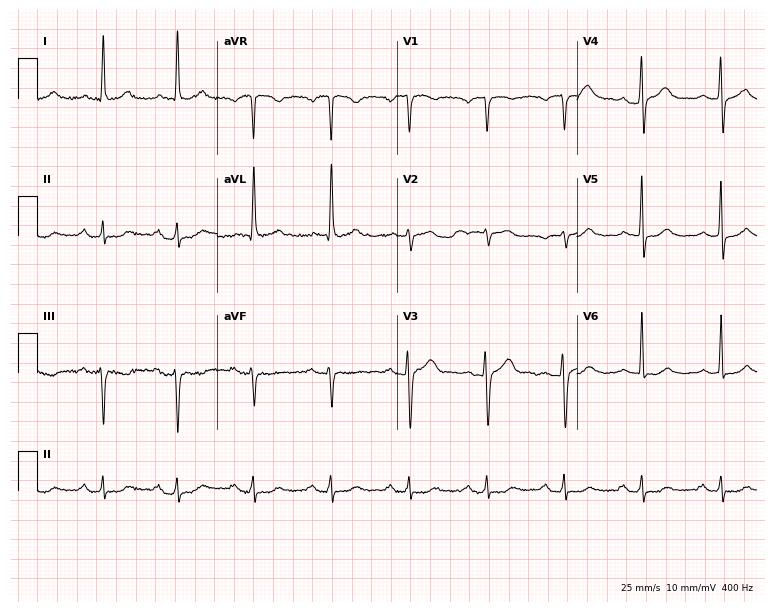
12-lead ECG (7.3-second recording at 400 Hz) from a man, 72 years old. Screened for six findings — first-degree AV block, right bundle branch block, left bundle branch block, sinus bradycardia, atrial fibrillation, sinus tachycardia — none is recorded. Only these six findings were labelled.